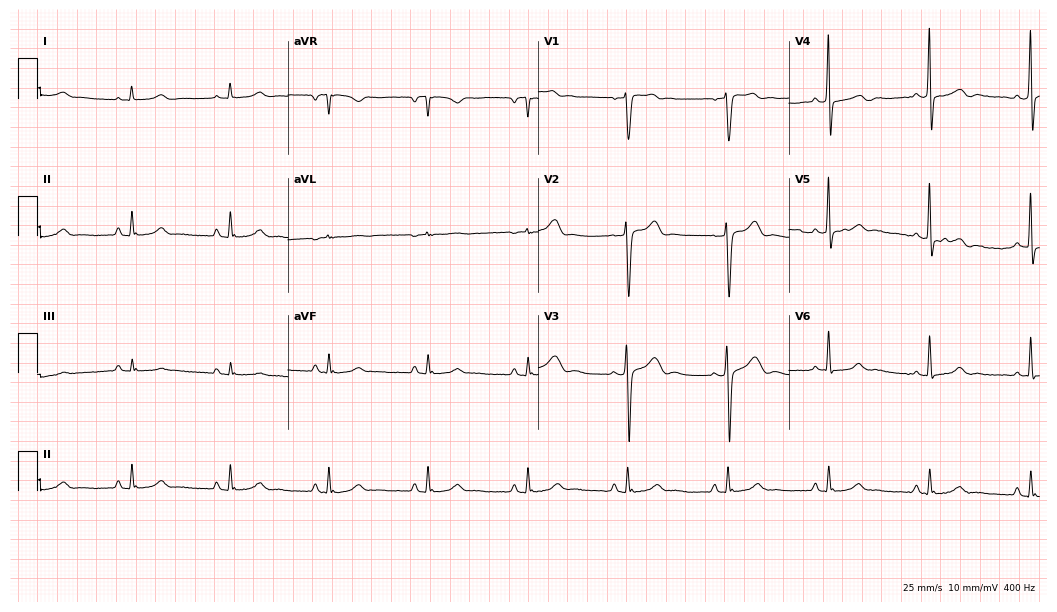
12-lead ECG from a 60-year-old male. Labelled as a normal ECG.